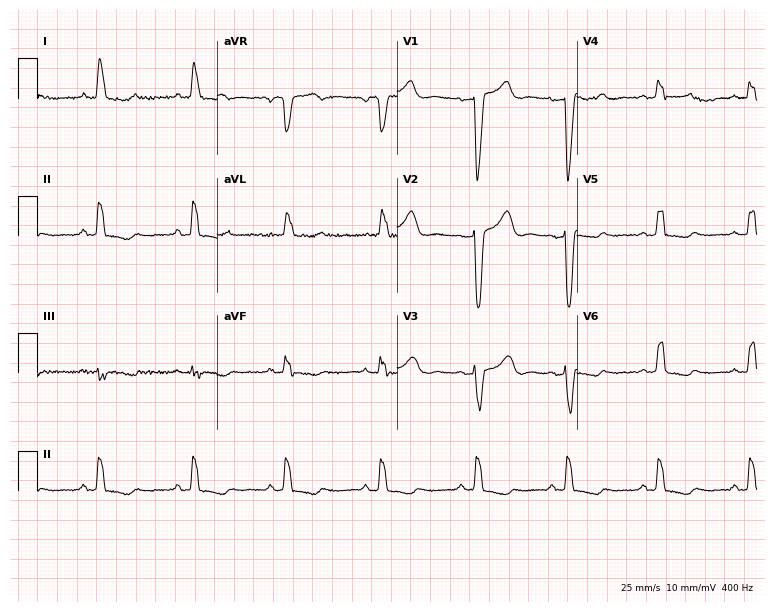
Resting 12-lead electrocardiogram. Patient: a 55-year-old female. None of these six findings is recorded: first-degree AV block, right bundle branch block (RBBB), left bundle branch block (LBBB), sinus bradycardia, atrial fibrillation (AF), sinus tachycardia.